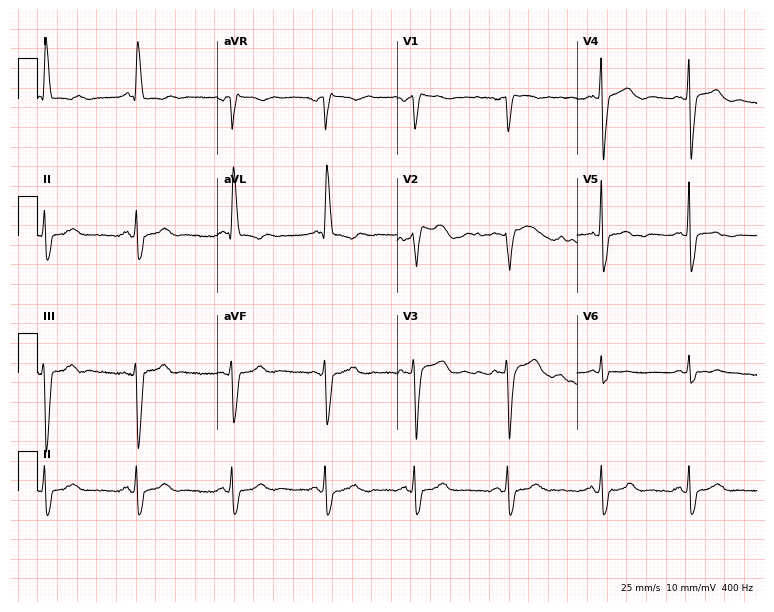
Standard 12-lead ECG recorded from a female, 75 years old. The tracing shows left bundle branch block.